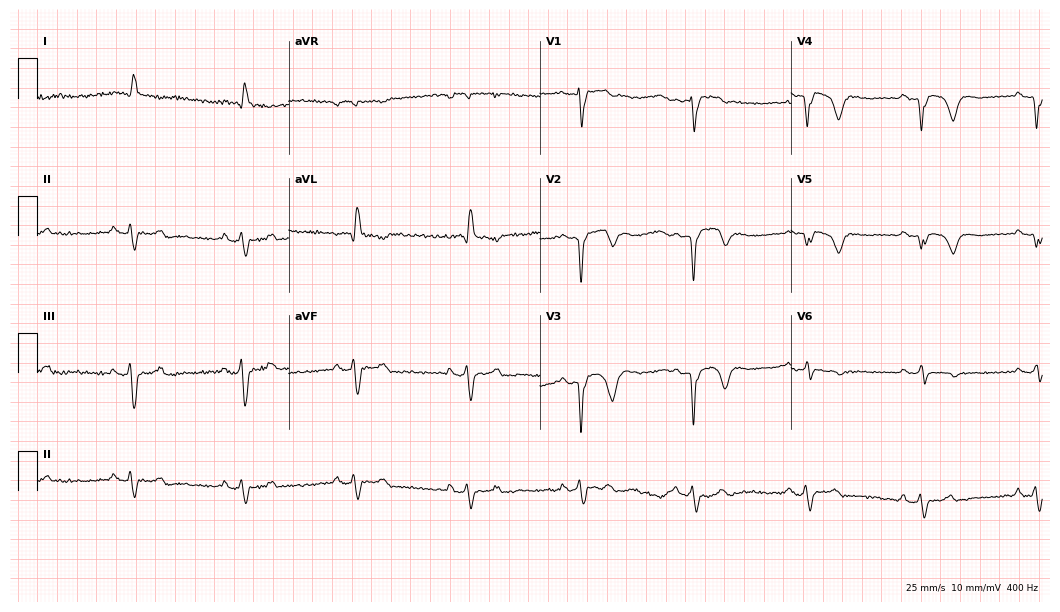
12-lead ECG (10.2-second recording at 400 Hz) from a 78-year-old male. Screened for six findings — first-degree AV block, right bundle branch block, left bundle branch block, sinus bradycardia, atrial fibrillation, sinus tachycardia — none is recorded. Other findings, if any, are not listed.